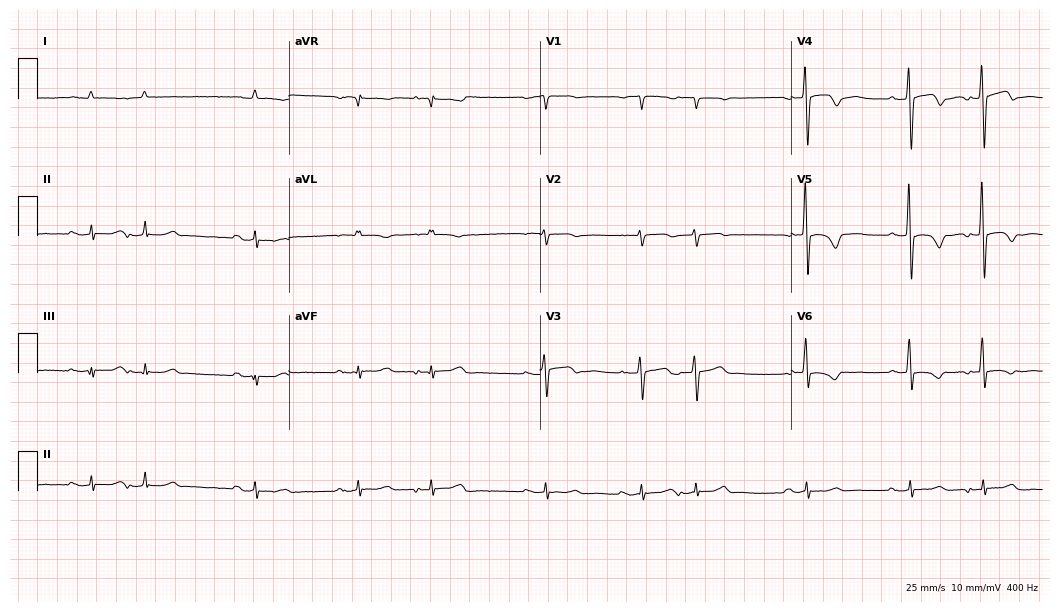
12-lead ECG from a 76-year-old male. Screened for six findings — first-degree AV block, right bundle branch block, left bundle branch block, sinus bradycardia, atrial fibrillation, sinus tachycardia — none is recorded. Only these six findings were labelled.